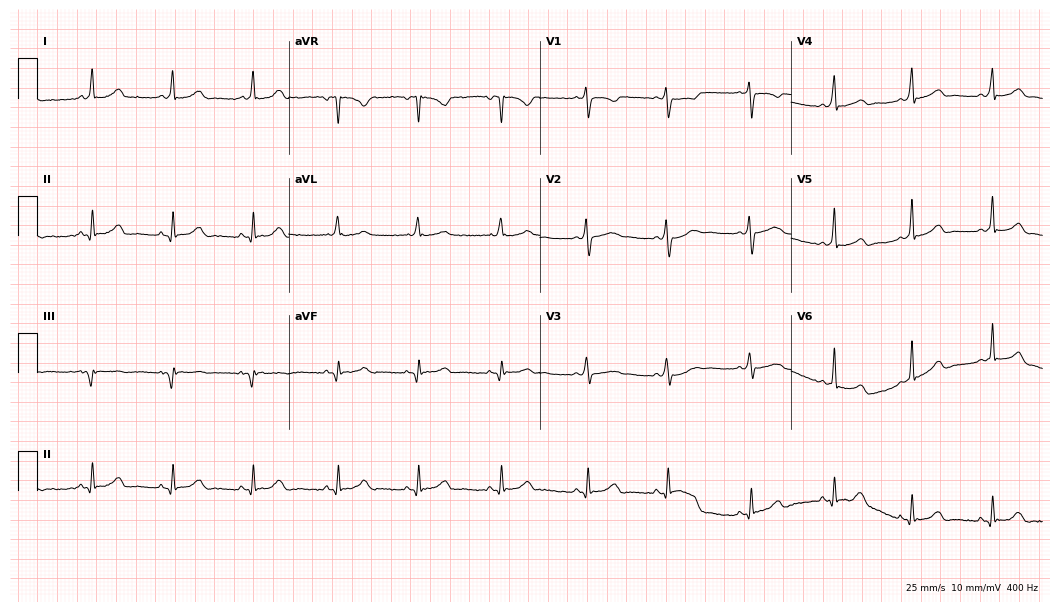
ECG — a 22-year-old female patient. Labelled as a normal ECG.